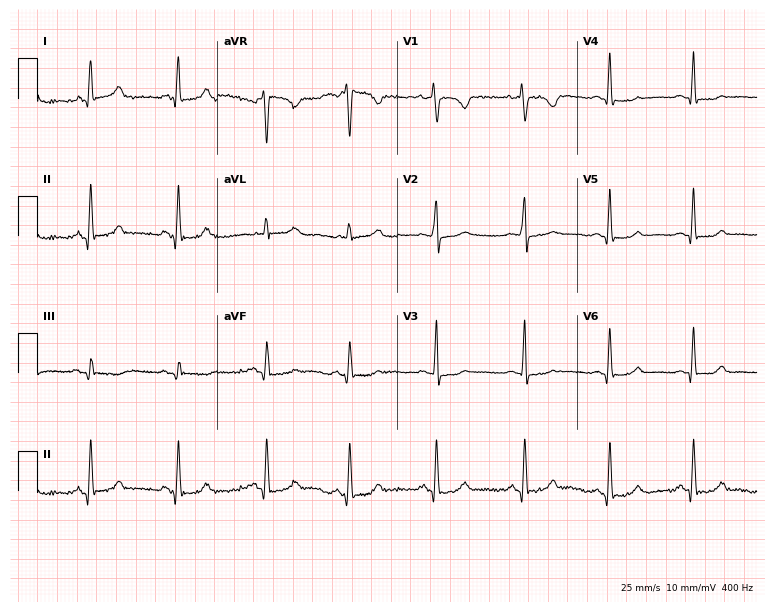
Resting 12-lead electrocardiogram (7.3-second recording at 400 Hz). Patient: a female, 32 years old. None of these six findings is recorded: first-degree AV block, right bundle branch block, left bundle branch block, sinus bradycardia, atrial fibrillation, sinus tachycardia.